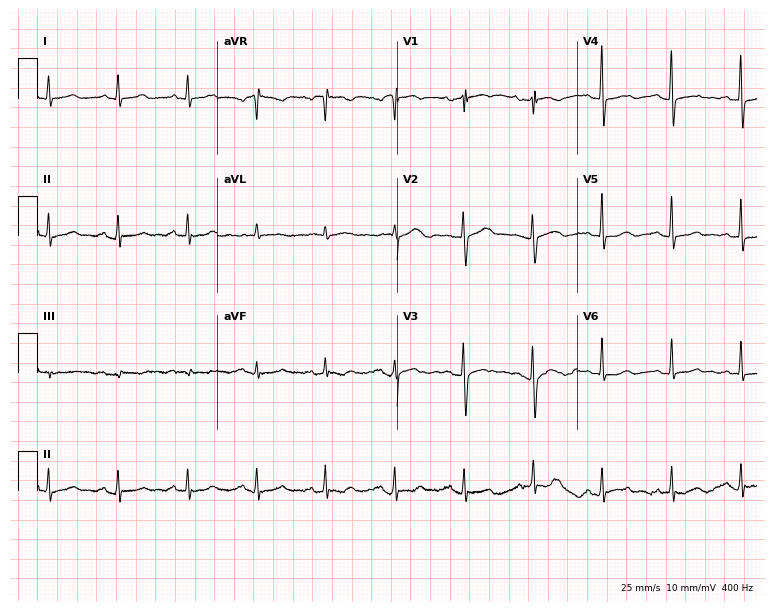
Standard 12-lead ECG recorded from a 67-year-old woman. Read as a normal ECG.